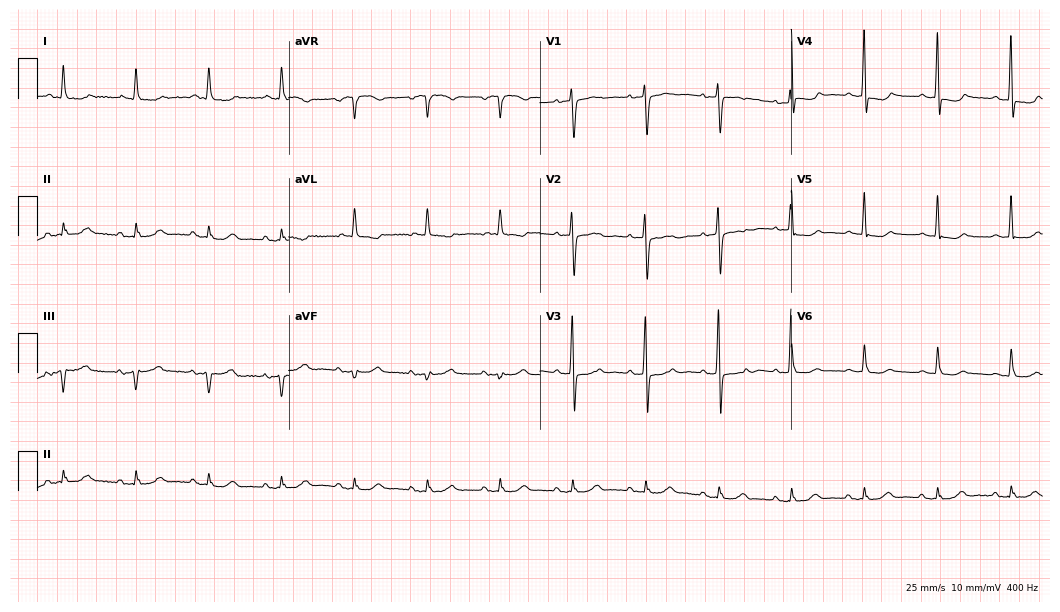
12-lead ECG from a female patient, 84 years old (10.2-second recording at 400 Hz). No first-degree AV block, right bundle branch block (RBBB), left bundle branch block (LBBB), sinus bradycardia, atrial fibrillation (AF) or sinus tachycardia recorded for this tracing.